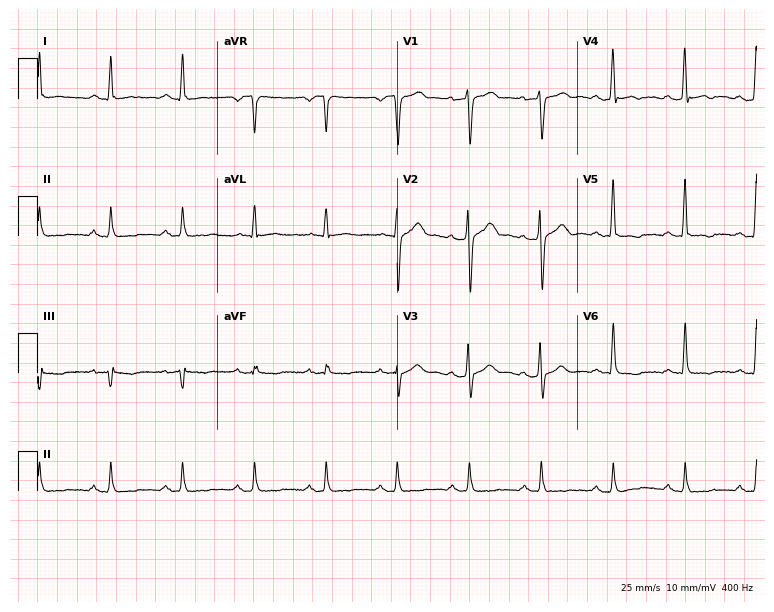
Resting 12-lead electrocardiogram. Patient: a 54-year-old male. None of these six findings is recorded: first-degree AV block, right bundle branch block, left bundle branch block, sinus bradycardia, atrial fibrillation, sinus tachycardia. Other findings, if any, are not listed.